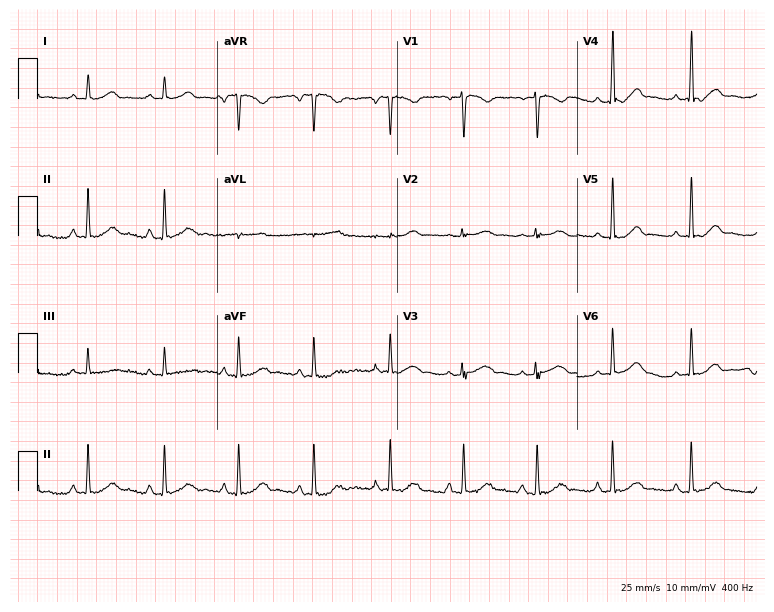
12-lead ECG (7.3-second recording at 400 Hz) from a 33-year-old woman. Screened for six findings — first-degree AV block, right bundle branch block (RBBB), left bundle branch block (LBBB), sinus bradycardia, atrial fibrillation (AF), sinus tachycardia — none is recorded.